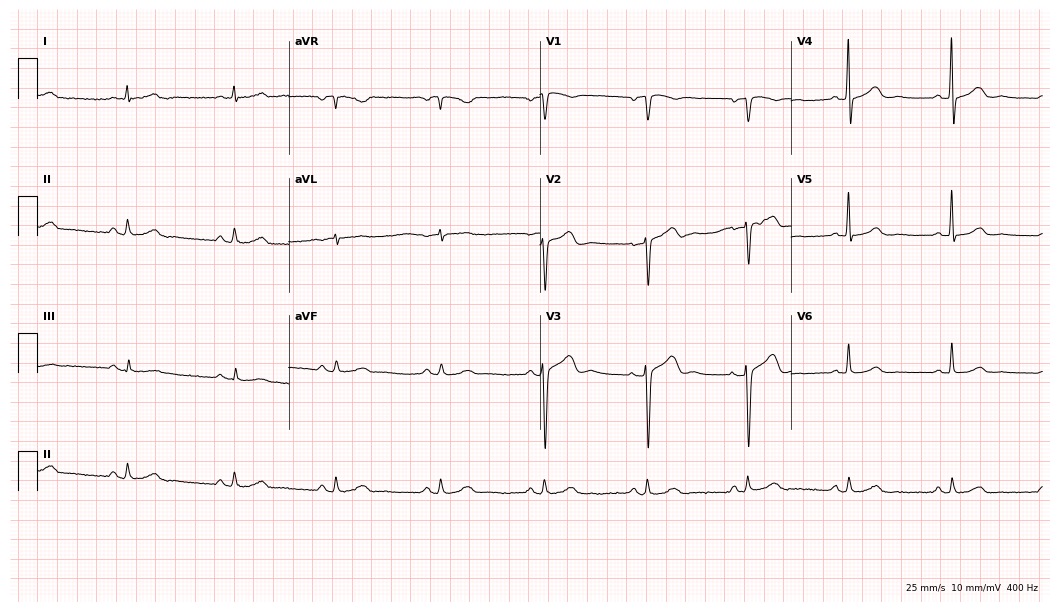
12-lead ECG (10.2-second recording at 400 Hz) from a 76-year-old male patient. Labelled as a normal ECG.